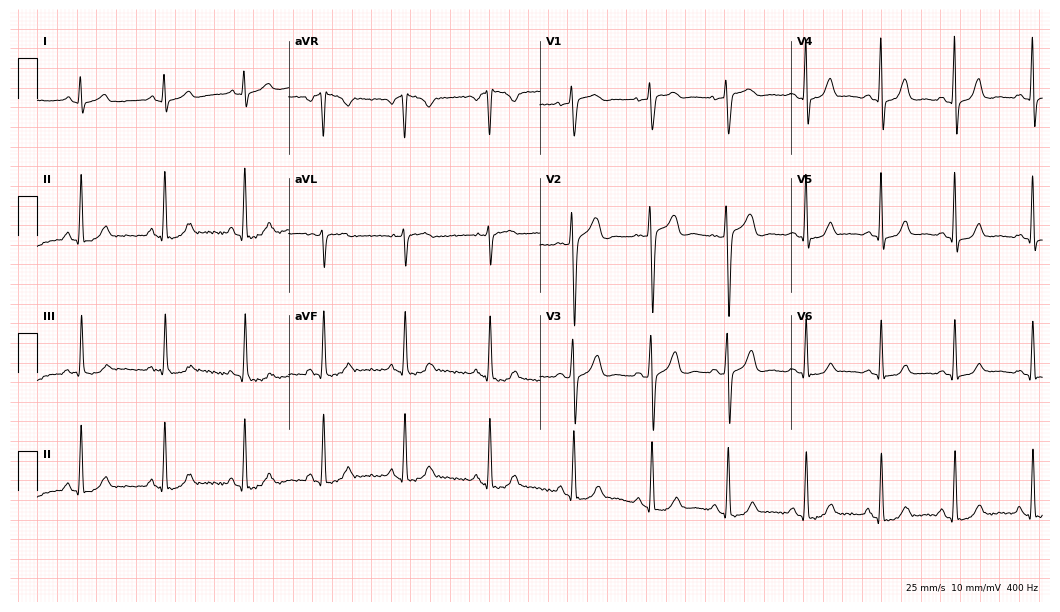
ECG — a 40-year-old female. Labelled as a normal ECG.